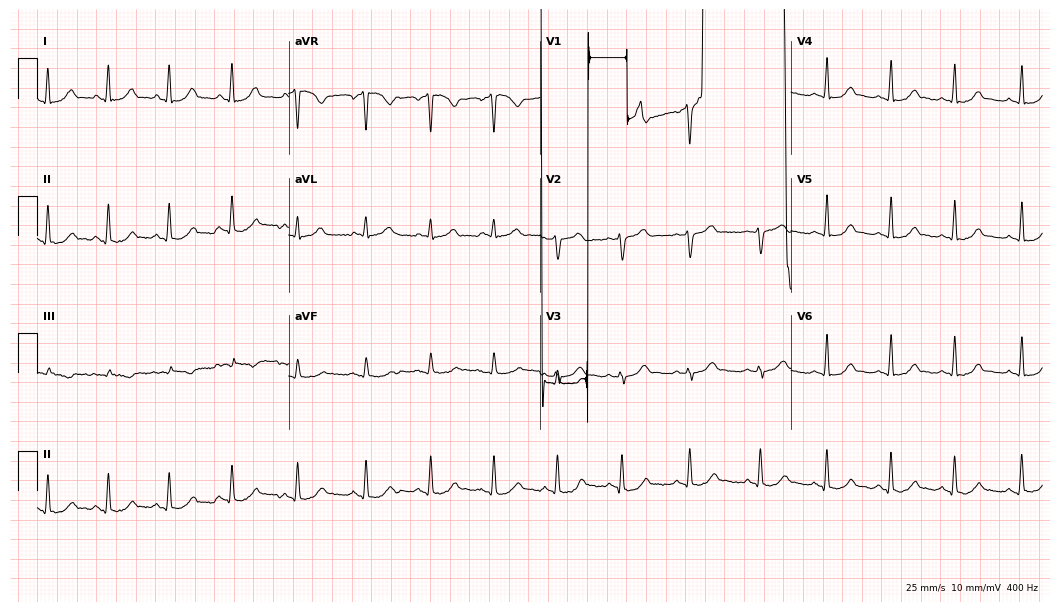
Electrocardiogram, a woman, 26 years old. Of the six screened findings (first-degree AV block, right bundle branch block (RBBB), left bundle branch block (LBBB), sinus bradycardia, atrial fibrillation (AF), sinus tachycardia), none is recorded. Other findings, if any, are not listed.